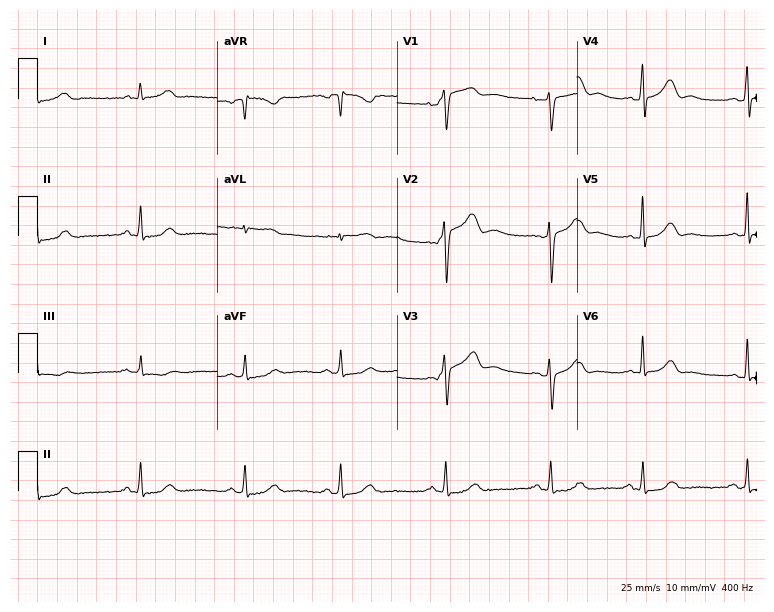
Standard 12-lead ECG recorded from a female, 31 years old (7.3-second recording at 400 Hz). None of these six findings is recorded: first-degree AV block, right bundle branch block, left bundle branch block, sinus bradycardia, atrial fibrillation, sinus tachycardia.